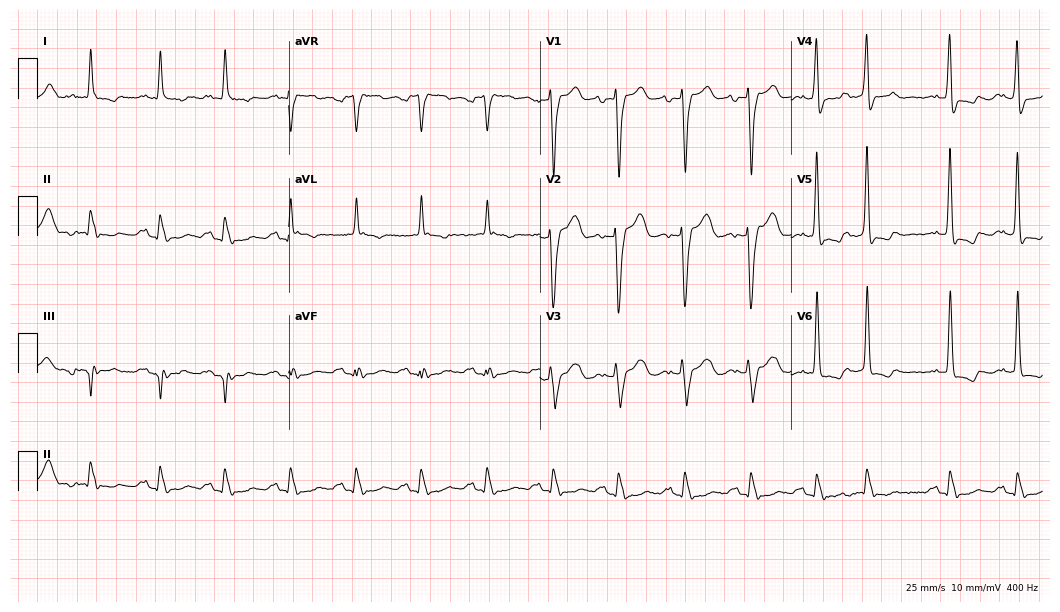
12-lead ECG from a 76-year-old male. Screened for six findings — first-degree AV block, right bundle branch block (RBBB), left bundle branch block (LBBB), sinus bradycardia, atrial fibrillation (AF), sinus tachycardia — none is recorded. Other findings, if any, are not listed.